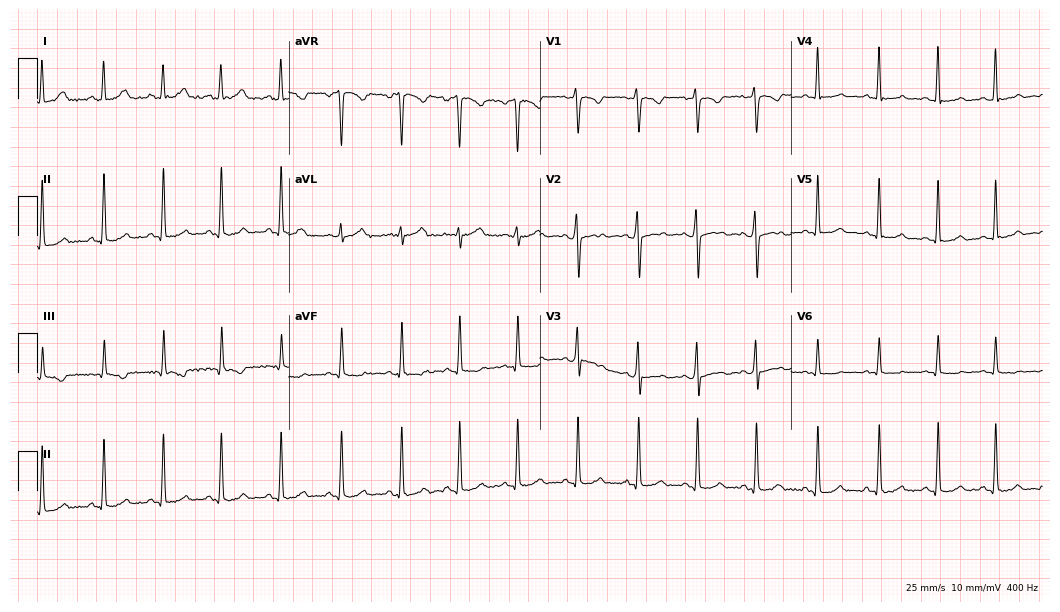
12-lead ECG from a female patient, 17 years old (10.2-second recording at 400 Hz). No first-degree AV block, right bundle branch block, left bundle branch block, sinus bradycardia, atrial fibrillation or sinus tachycardia recorded for this tracing. Findings outside these six are not listed.